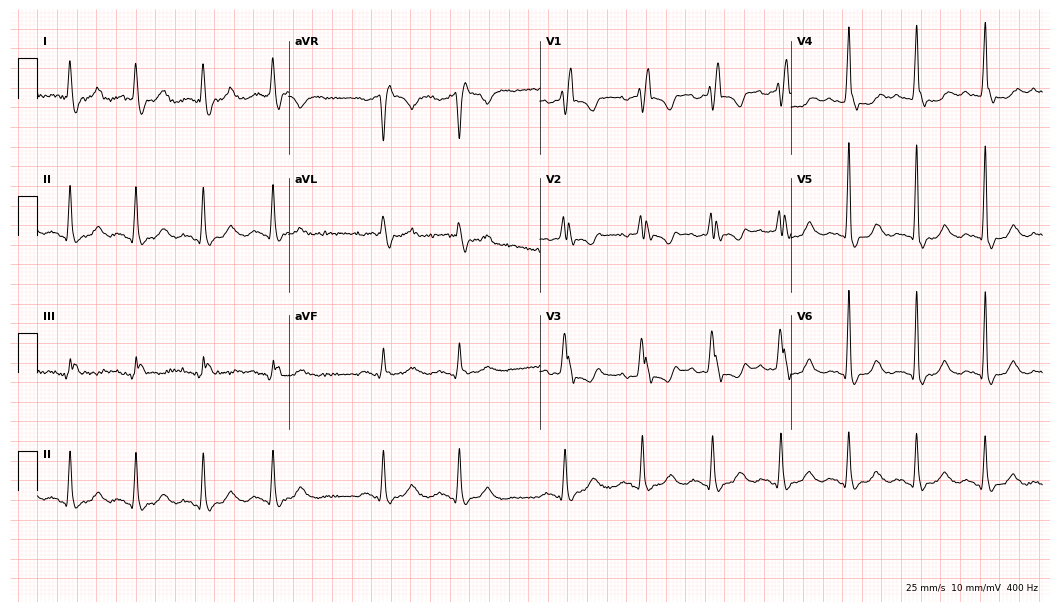
Resting 12-lead electrocardiogram. Patient: a female, 81 years old. The tracing shows right bundle branch block (RBBB).